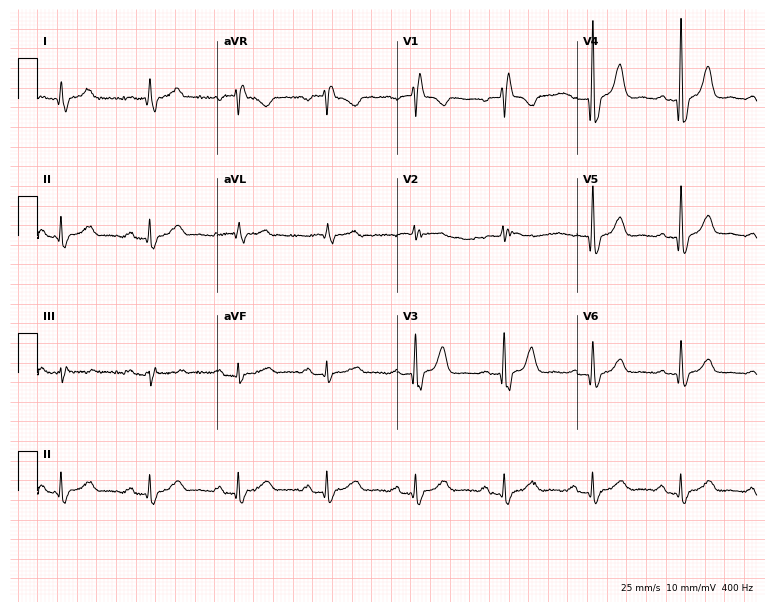
12-lead ECG (7.3-second recording at 400 Hz) from an 81-year-old man. Findings include right bundle branch block.